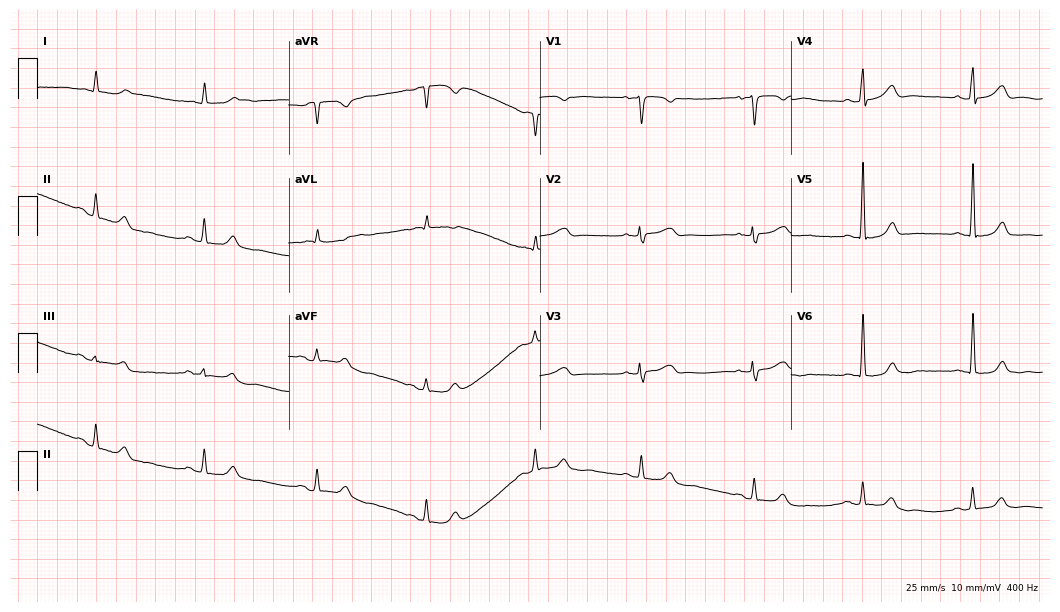
Resting 12-lead electrocardiogram. Patient: a woman, 73 years old. None of these six findings is recorded: first-degree AV block, right bundle branch block (RBBB), left bundle branch block (LBBB), sinus bradycardia, atrial fibrillation (AF), sinus tachycardia.